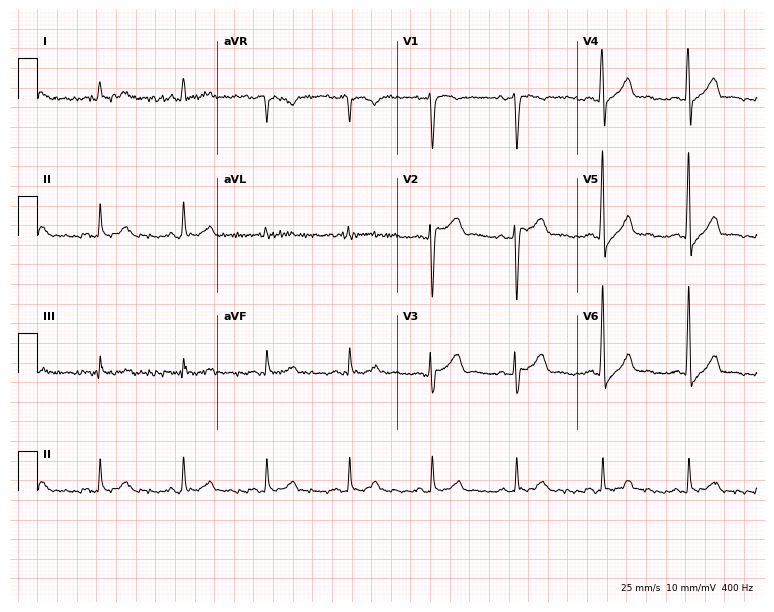
Standard 12-lead ECG recorded from a 45-year-old male patient (7.3-second recording at 400 Hz). None of these six findings is recorded: first-degree AV block, right bundle branch block (RBBB), left bundle branch block (LBBB), sinus bradycardia, atrial fibrillation (AF), sinus tachycardia. Only these six findings were labelled.